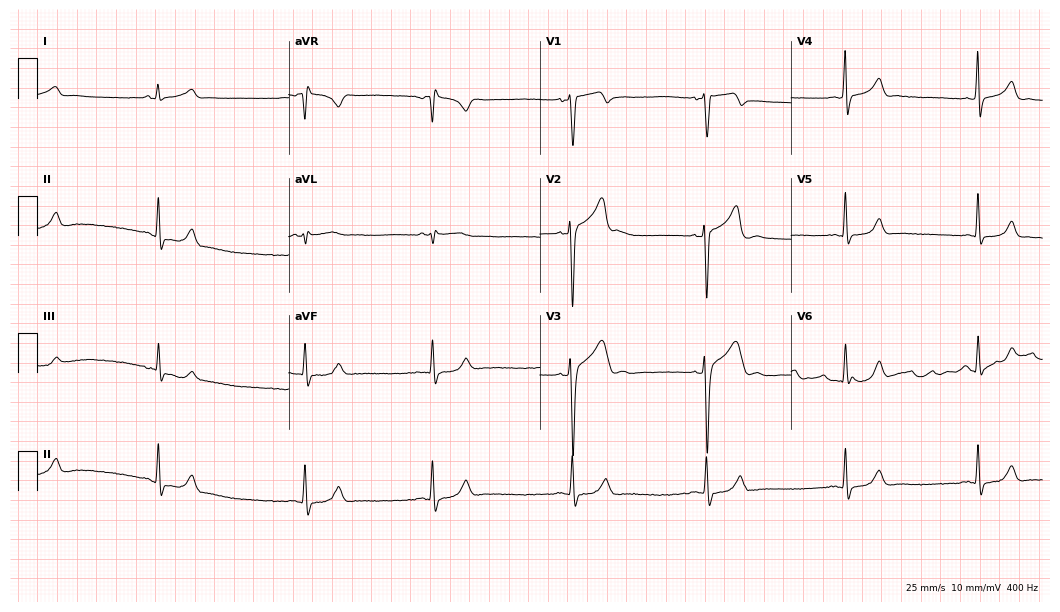
12-lead ECG from a 22-year-old male patient (10.2-second recording at 400 Hz). Shows sinus bradycardia (a sinus rate of 50 beats per minute or less).